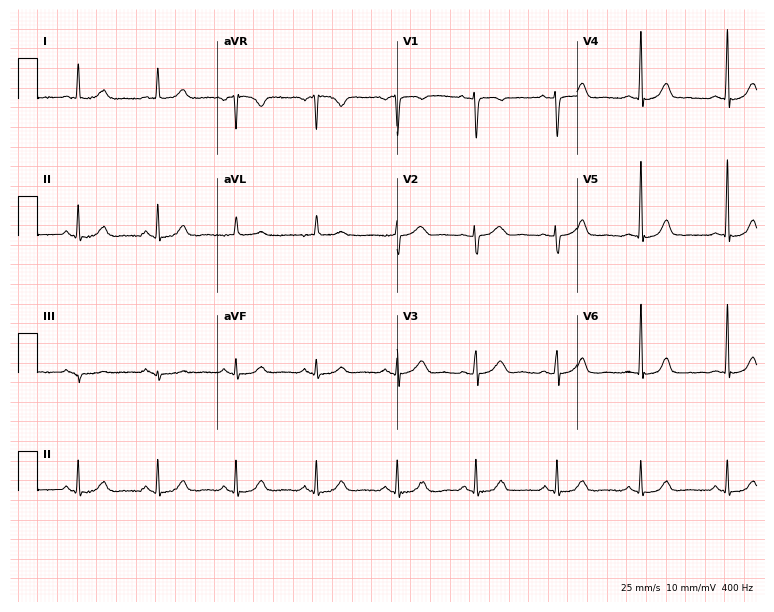
Resting 12-lead electrocardiogram (7.3-second recording at 400 Hz). Patient: a female, 52 years old. Read as a normal ECG.